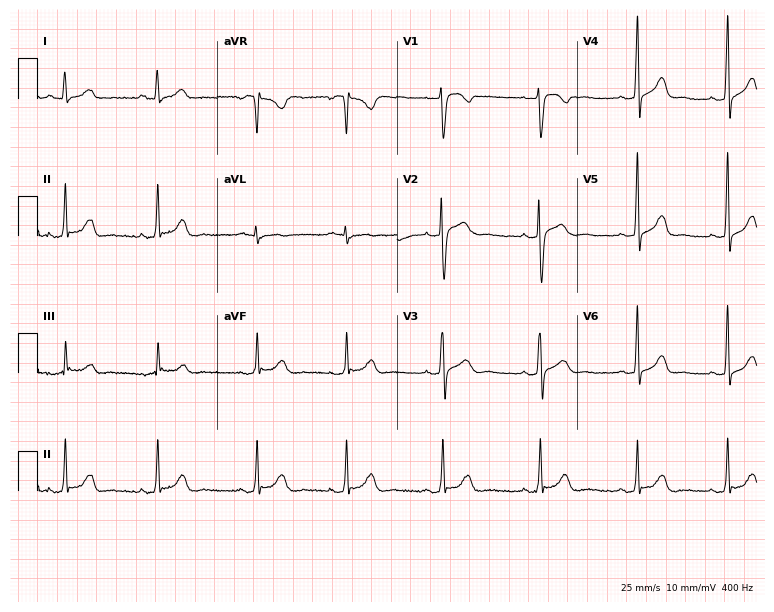
12-lead ECG from a 19-year-old woman. Labelled as a normal ECG.